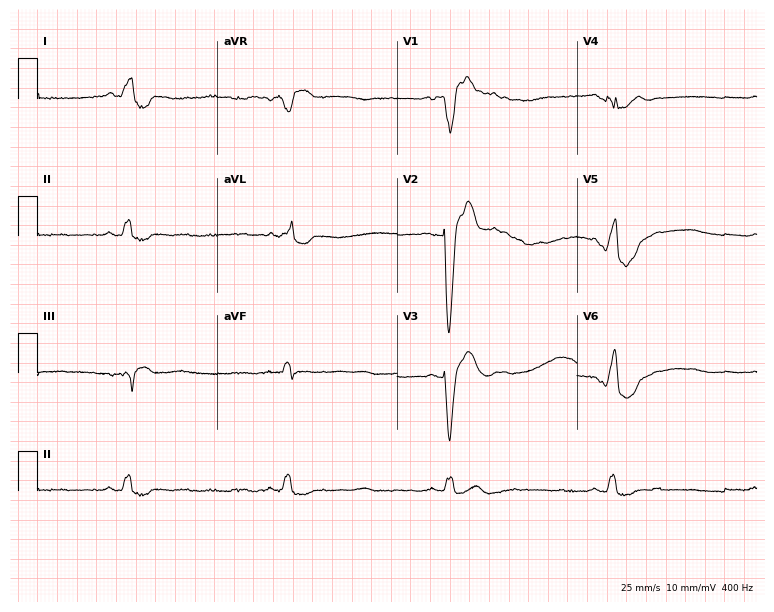
Electrocardiogram (7.3-second recording at 400 Hz), a male, 75 years old. Interpretation includes left bundle branch block (LBBB).